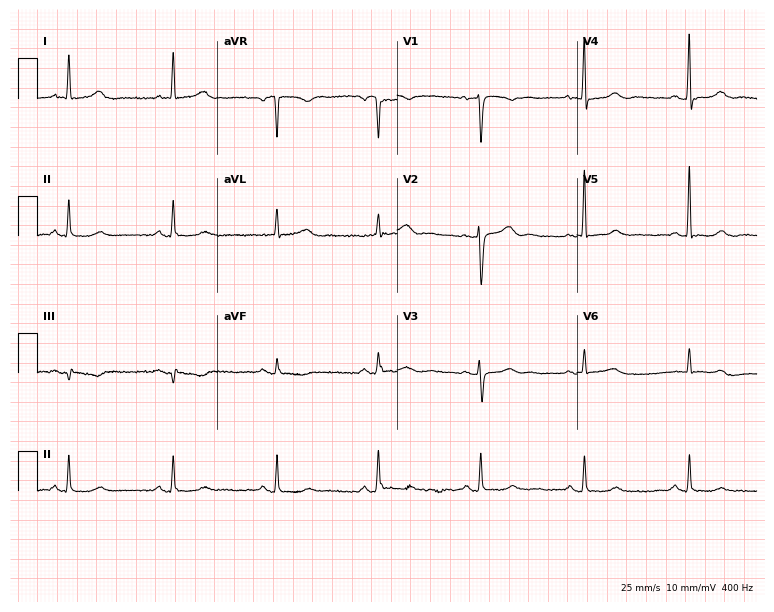
12-lead ECG (7.3-second recording at 400 Hz) from a female patient, 65 years old. Screened for six findings — first-degree AV block, right bundle branch block, left bundle branch block, sinus bradycardia, atrial fibrillation, sinus tachycardia — none is recorded. Only these six findings were labelled.